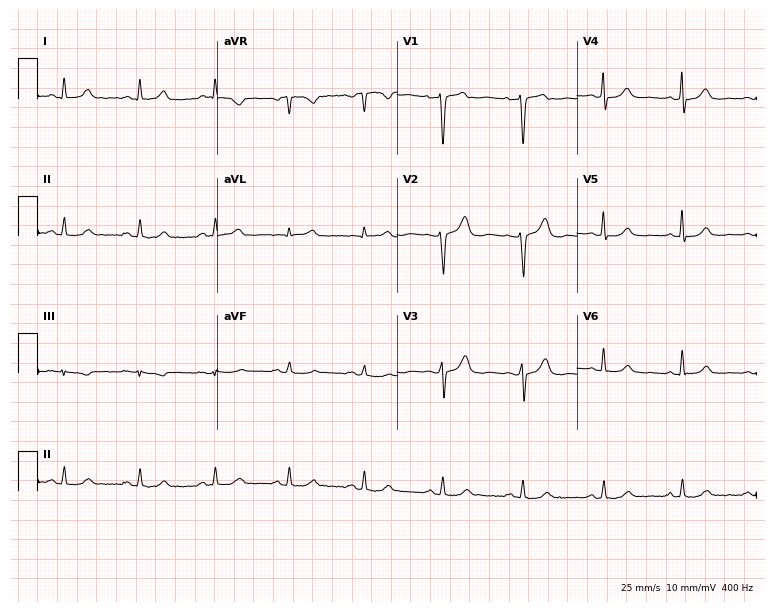
Resting 12-lead electrocardiogram. Patient: a 38-year-old woman. None of these six findings is recorded: first-degree AV block, right bundle branch block, left bundle branch block, sinus bradycardia, atrial fibrillation, sinus tachycardia.